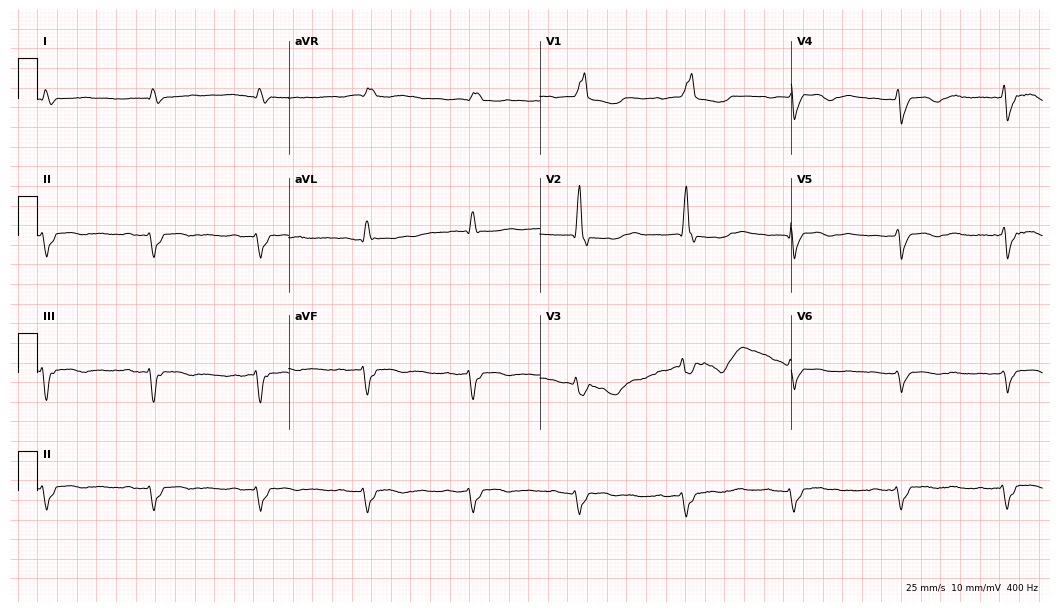
12-lead ECG (10.2-second recording at 400 Hz) from a female, 80 years old. Findings include right bundle branch block.